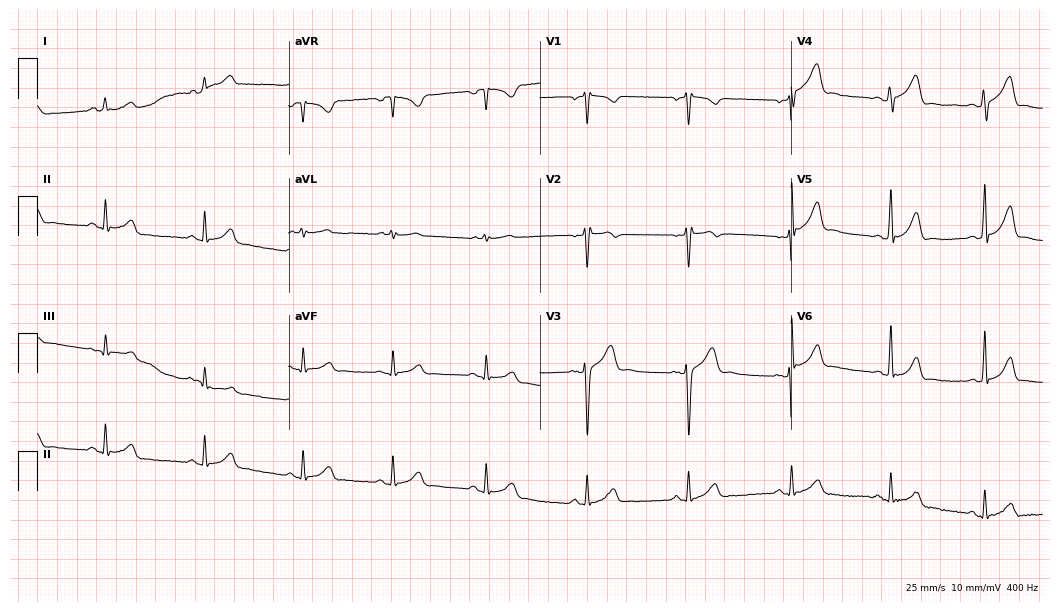
ECG (10.2-second recording at 400 Hz) — a man, 23 years old. Screened for six findings — first-degree AV block, right bundle branch block, left bundle branch block, sinus bradycardia, atrial fibrillation, sinus tachycardia — none is recorded.